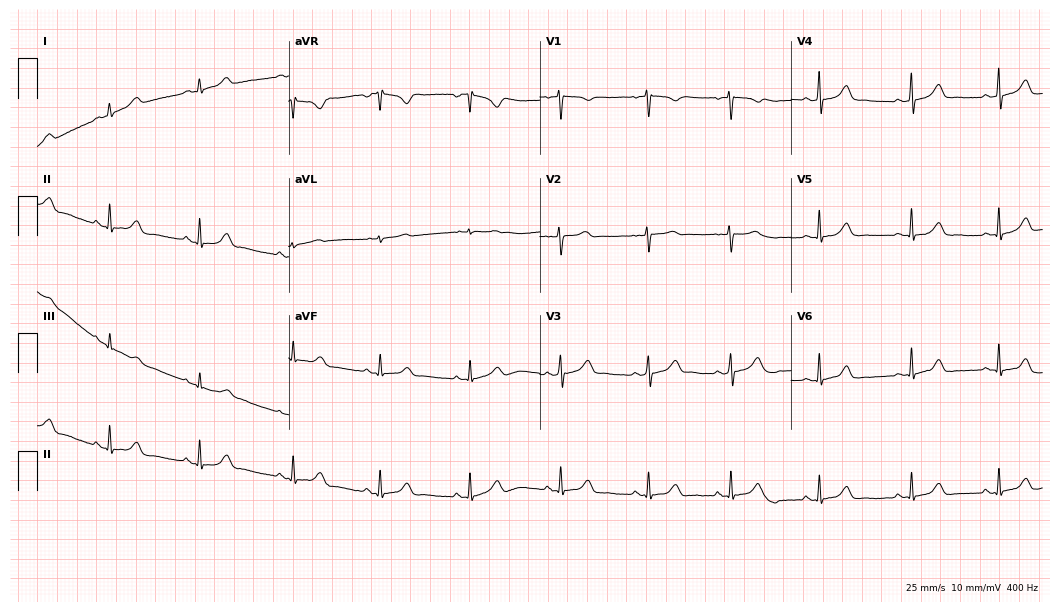
Standard 12-lead ECG recorded from a woman, 29 years old (10.2-second recording at 400 Hz). Read as a normal ECG.